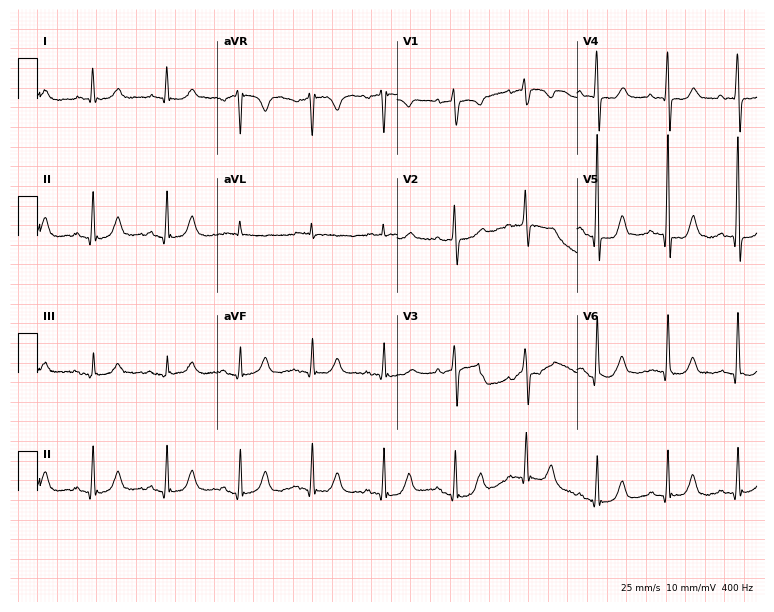
ECG — a woman, 79 years old. Labelled as a normal ECG.